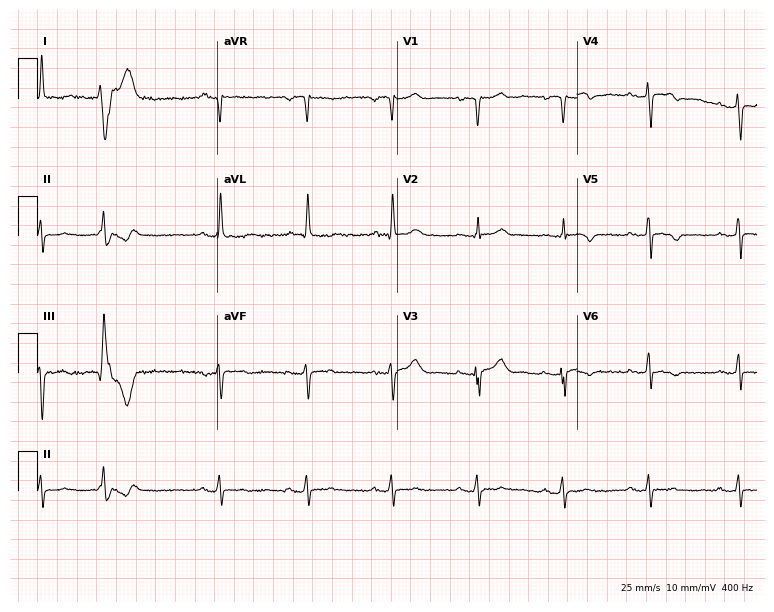
12-lead ECG from a female patient, 66 years old. Screened for six findings — first-degree AV block, right bundle branch block, left bundle branch block, sinus bradycardia, atrial fibrillation, sinus tachycardia — none is recorded. Findings outside these six are not listed.